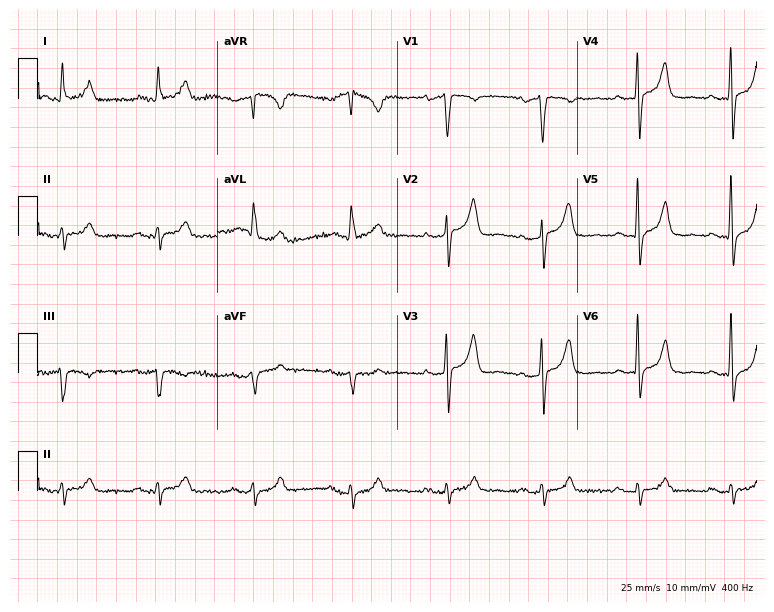
12-lead ECG from a man, 64 years old. Labelled as a normal ECG.